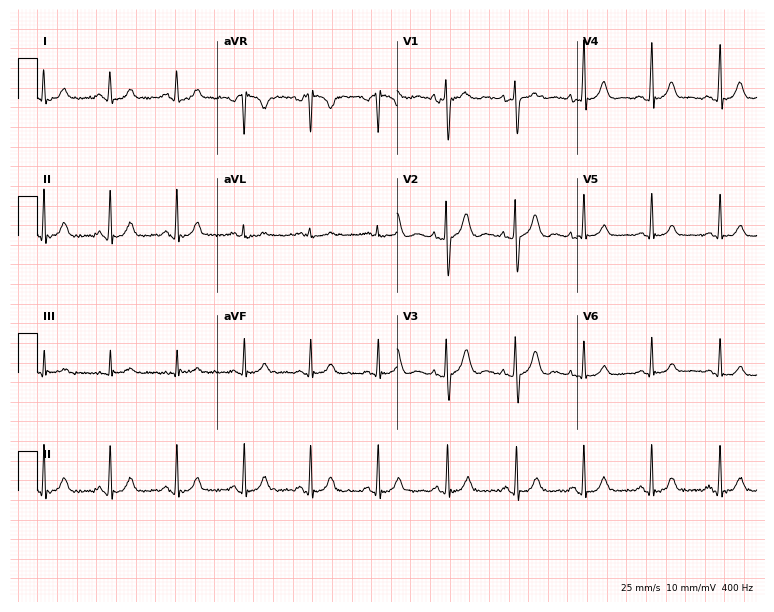
Standard 12-lead ECG recorded from a female, 23 years old. None of these six findings is recorded: first-degree AV block, right bundle branch block, left bundle branch block, sinus bradycardia, atrial fibrillation, sinus tachycardia.